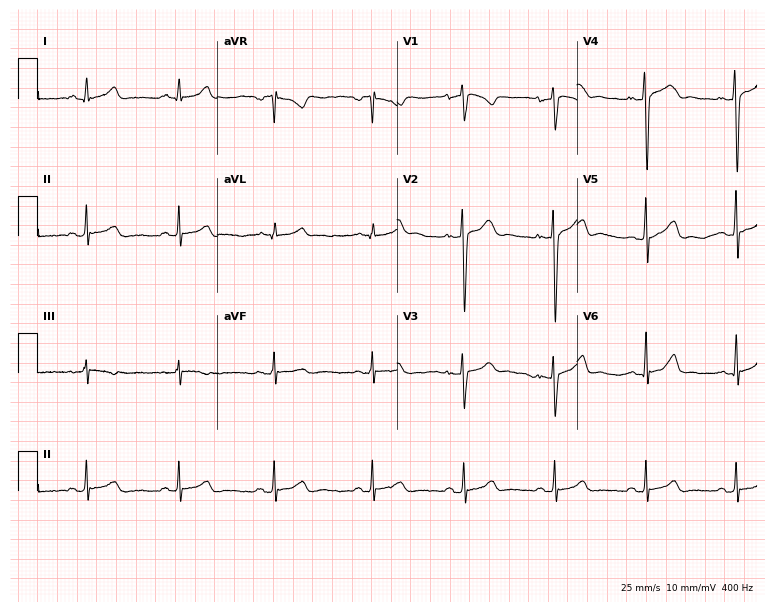
Standard 12-lead ECG recorded from a 21-year-old female. Read as a normal ECG.